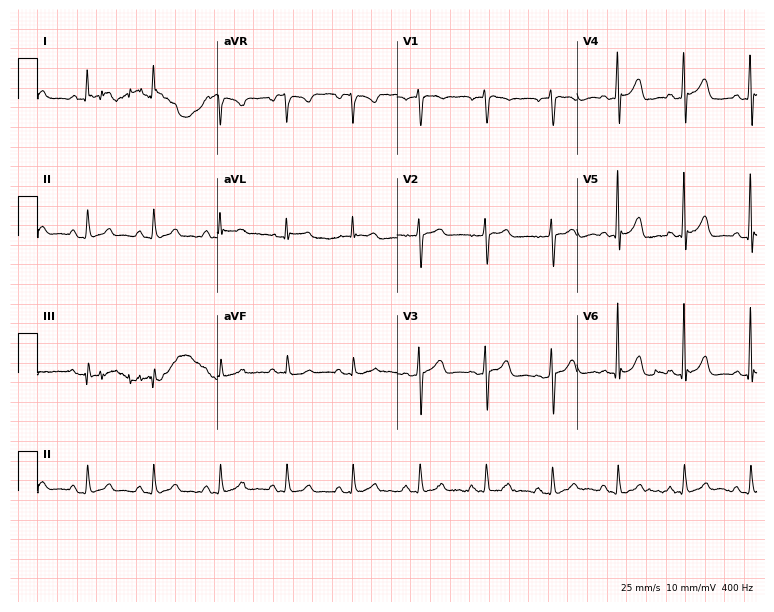
ECG — a male, 81 years old. Labelled as a normal ECG.